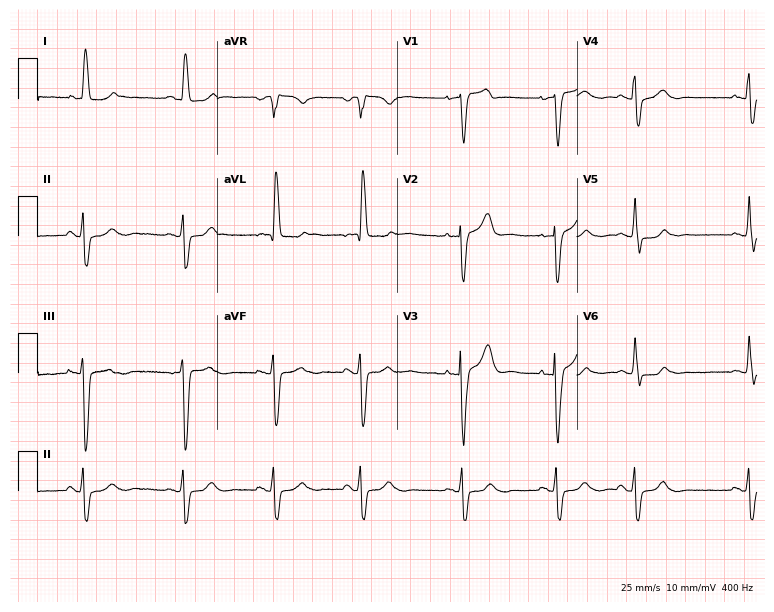
Resting 12-lead electrocardiogram (7.3-second recording at 400 Hz). Patient: a 67-year-old woman. None of these six findings is recorded: first-degree AV block, right bundle branch block, left bundle branch block, sinus bradycardia, atrial fibrillation, sinus tachycardia.